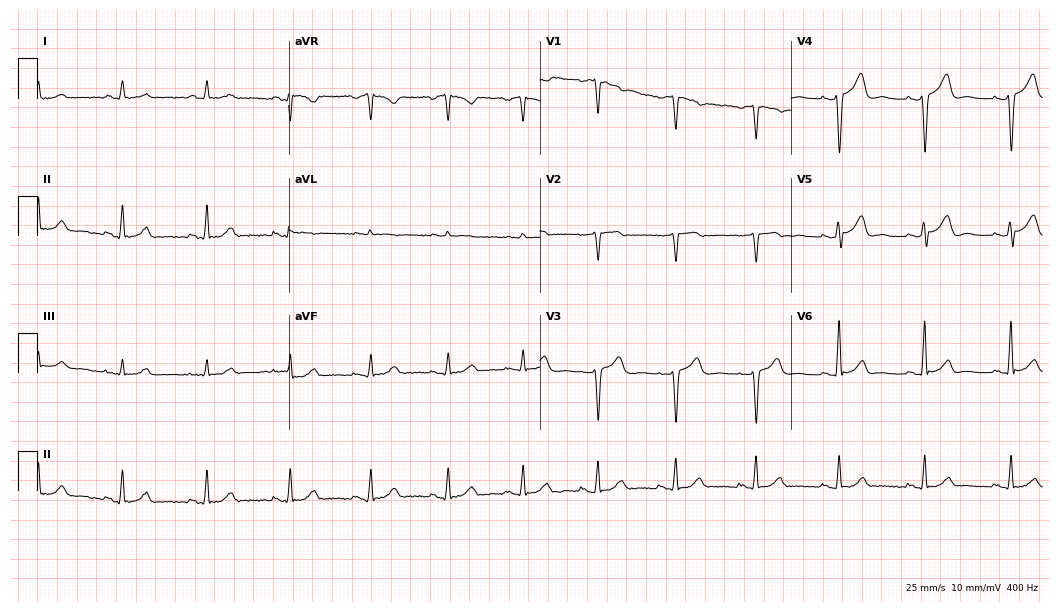
12-lead ECG from a 64-year-old male patient. Recorded interpretation: within normal limits.